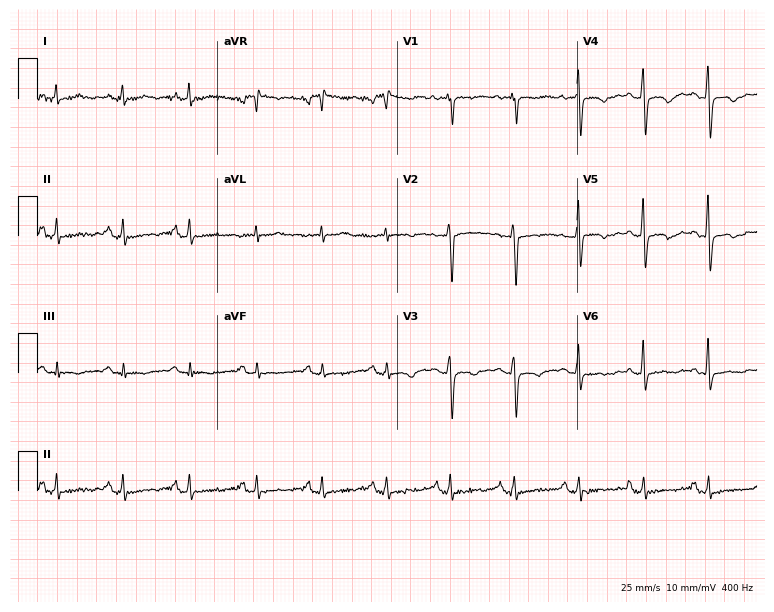
Electrocardiogram (7.3-second recording at 400 Hz), a female patient, 66 years old. Of the six screened findings (first-degree AV block, right bundle branch block (RBBB), left bundle branch block (LBBB), sinus bradycardia, atrial fibrillation (AF), sinus tachycardia), none is recorded.